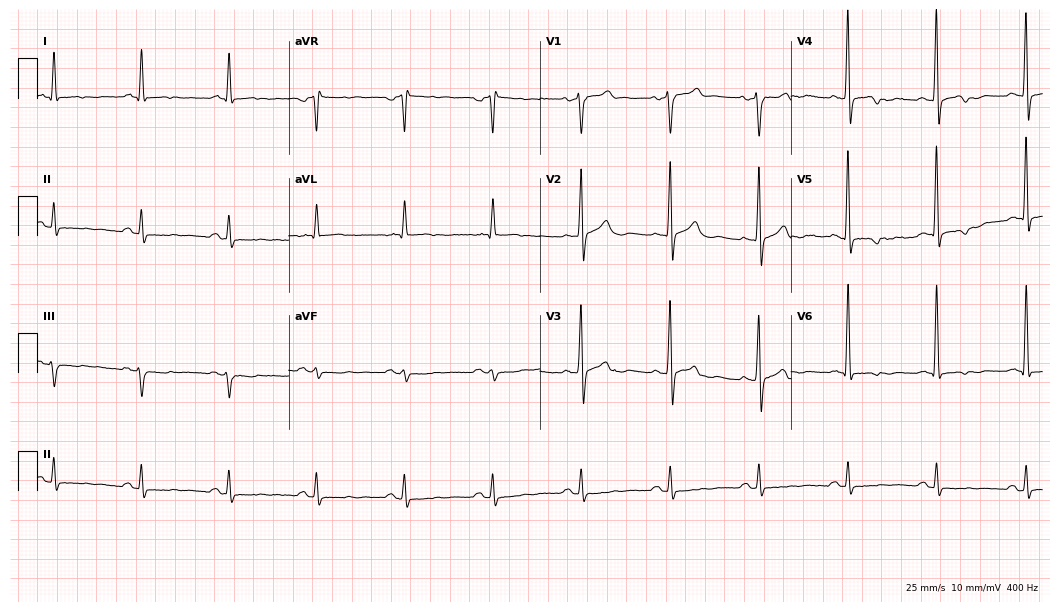
12-lead ECG from a male, 76 years old. Screened for six findings — first-degree AV block, right bundle branch block, left bundle branch block, sinus bradycardia, atrial fibrillation, sinus tachycardia — none is recorded.